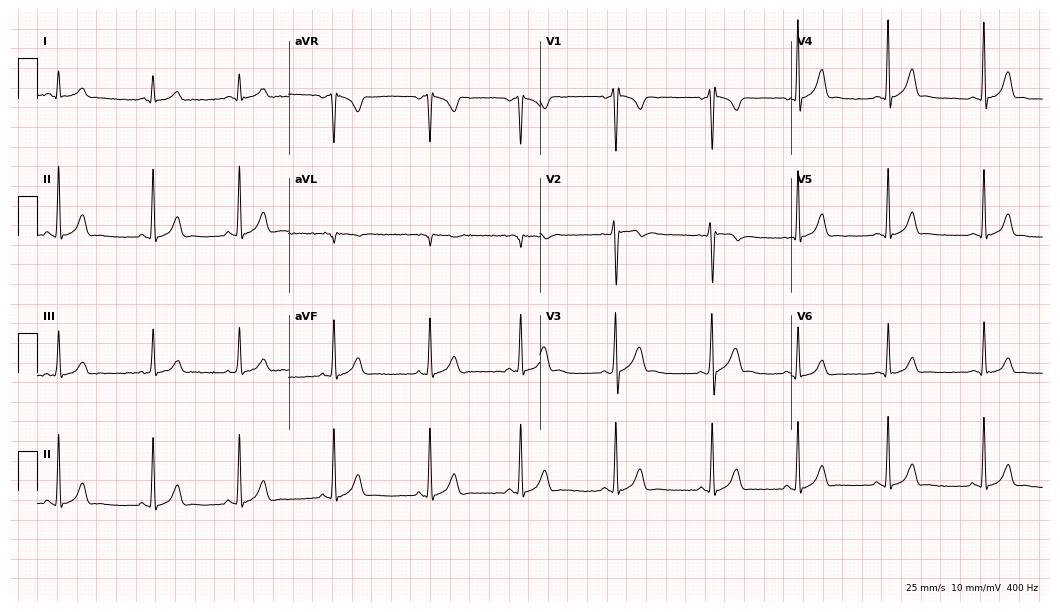
12-lead ECG (10.2-second recording at 400 Hz) from a male patient, 18 years old. Screened for six findings — first-degree AV block, right bundle branch block, left bundle branch block, sinus bradycardia, atrial fibrillation, sinus tachycardia — none is recorded.